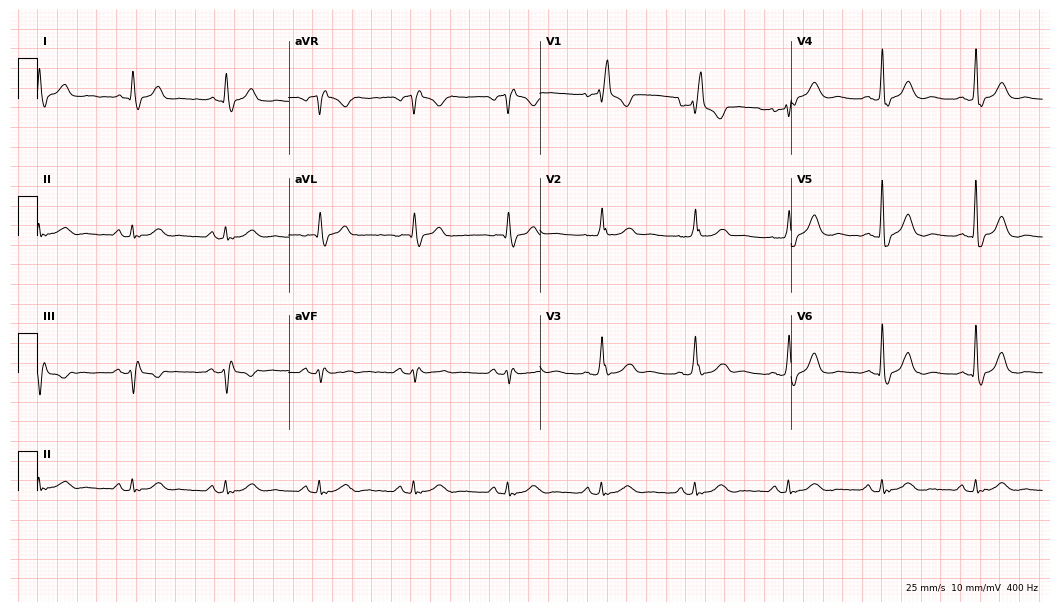
ECG (10.2-second recording at 400 Hz) — an 84-year-old man. Screened for six findings — first-degree AV block, right bundle branch block, left bundle branch block, sinus bradycardia, atrial fibrillation, sinus tachycardia — none is recorded.